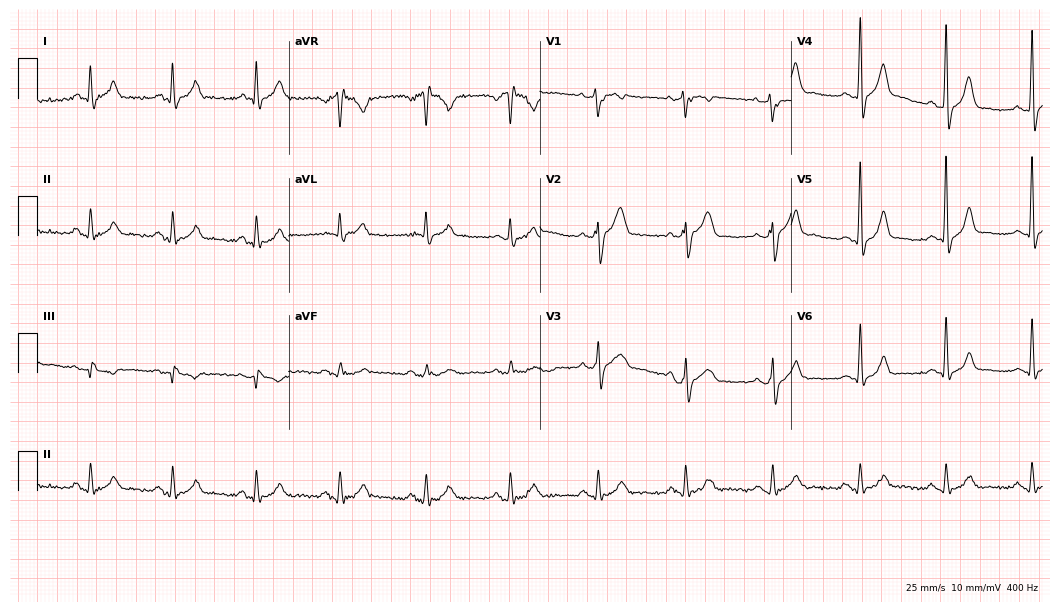
12-lead ECG from a 58-year-old male patient. Screened for six findings — first-degree AV block, right bundle branch block (RBBB), left bundle branch block (LBBB), sinus bradycardia, atrial fibrillation (AF), sinus tachycardia — none is recorded.